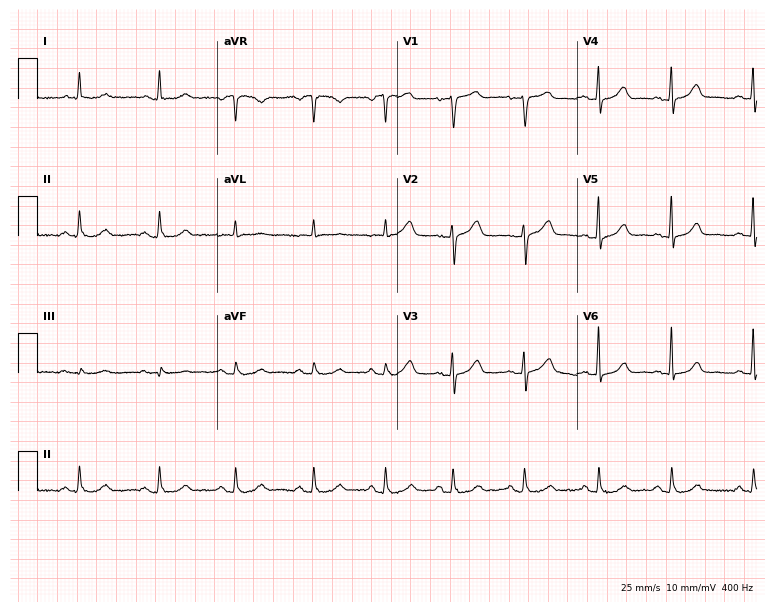
Standard 12-lead ECG recorded from a male, 57 years old. None of these six findings is recorded: first-degree AV block, right bundle branch block, left bundle branch block, sinus bradycardia, atrial fibrillation, sinus tachycardia.